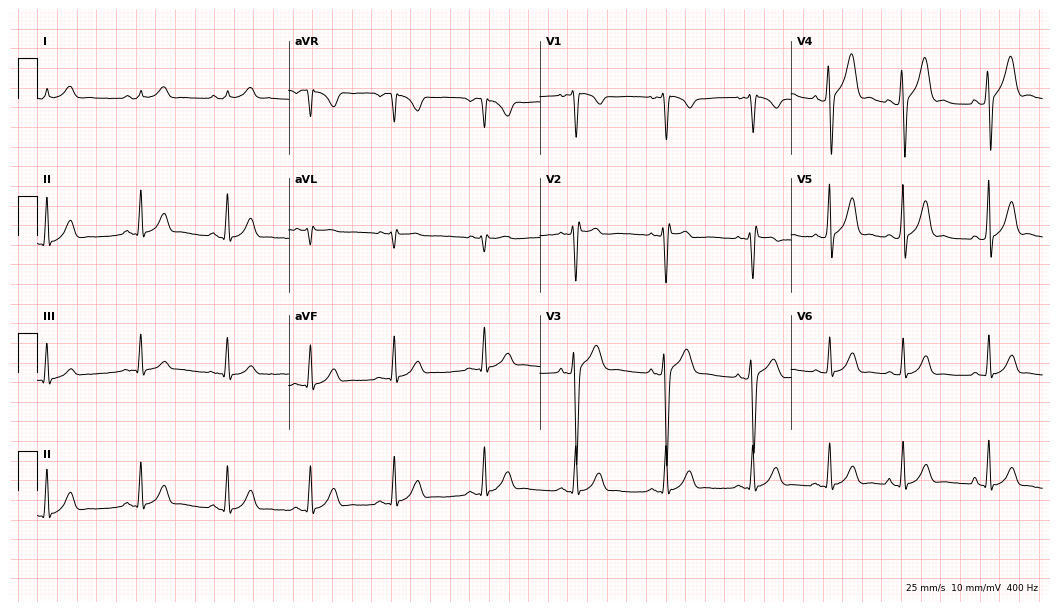
12-lead ECG from a 22-year-old male (10.2-second recording at 400 Hz). No first-degree AV block, right bundle branch block (RBBB), left bundle branch block (LBBB), sinus bradycardia, atrial fibrillation (AF) or sinus tachycardia recorded for this tracing.